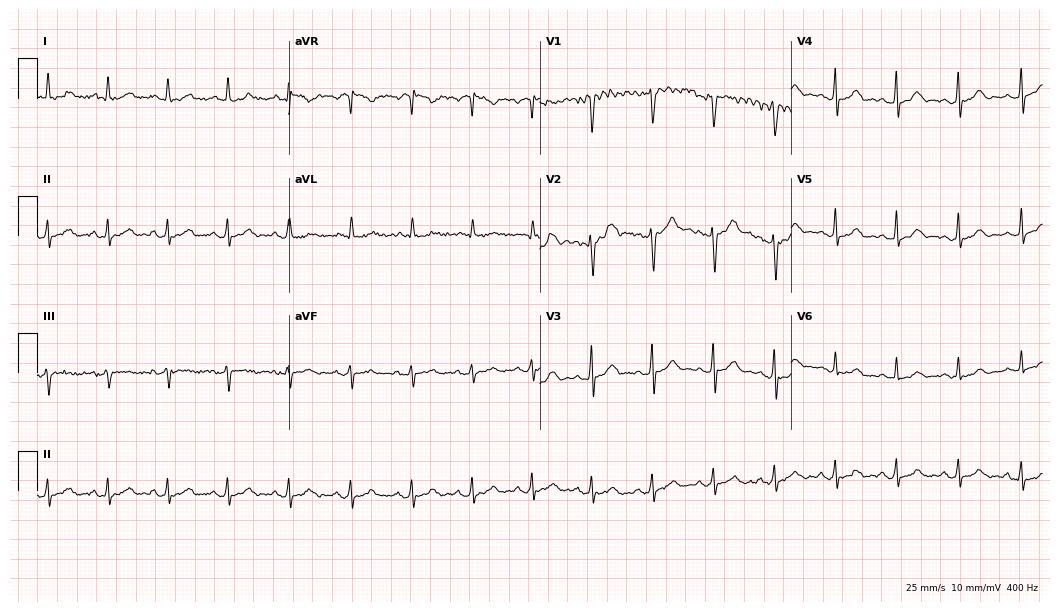
Standard 12-lead ECG recorded from a 53-year-old male (10.2-second recording at 400 Hz). None of these six findings is recorded: first-degree AV block, right bundle branch block, left bundle branch block, sinus bradycardia, atrial fibrillation, sinus tachycardia. Other findings, if any, are not listed.